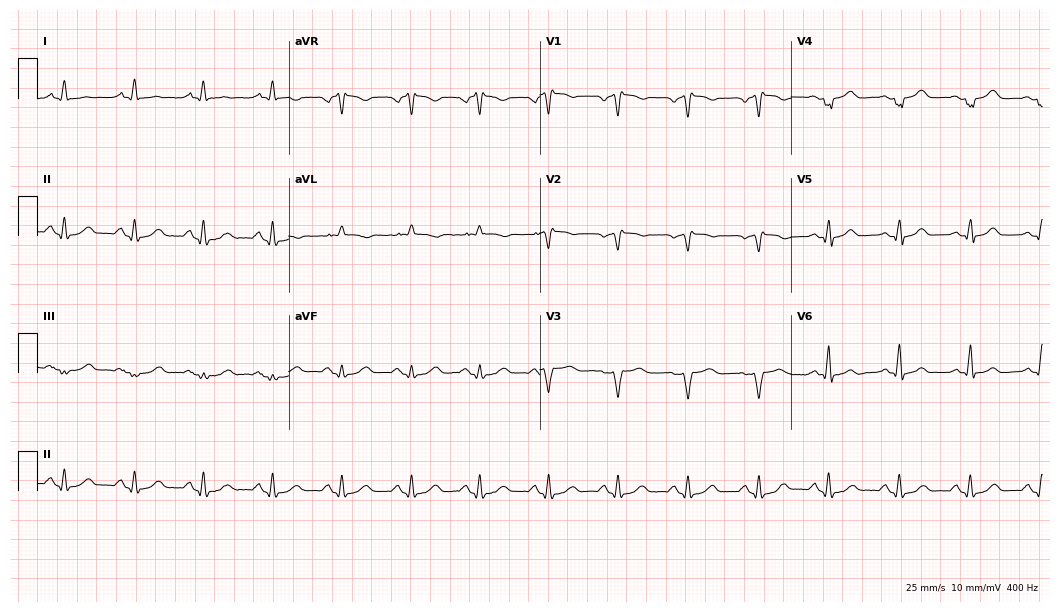
12-lead ECG (10.2-second recording at 400 Hz) from a female, 70 years old. Screened for six findings — first-degree AV block, right bundle branch block (RBBB), left bundle branch block (LBBB), sinus bradycardia, atrial fibrillation (AF), sinus tachycardia — none is recorded.